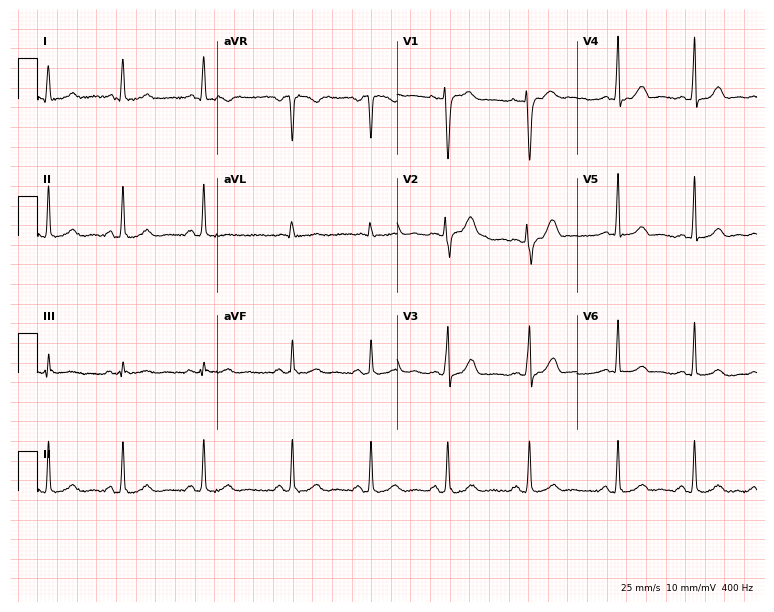
ECG — a female, 35 years old. Screened for six findings — first-degree AV block, right bundle branch block, left bundle branch block, sinus bradycardia, atrial fibrillation, sinus tachycardia — none is recorded. Findings outside these six are not listed.